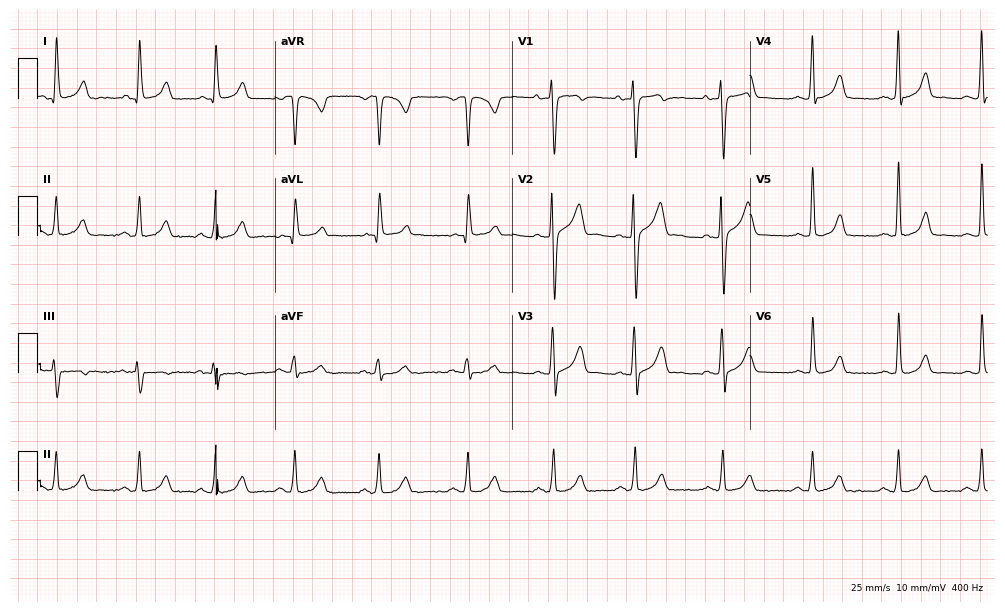
Electrocardiogram (9.7-second recording at 400 Hz), a male, 31 years old. Of the six screened findings (first-degree AV block, right bundle branch block, left bundle branch block, sinus bradycardia, atrial fibrillation, sinus tachycardia), none is recorded. Only these six findings were labelled.